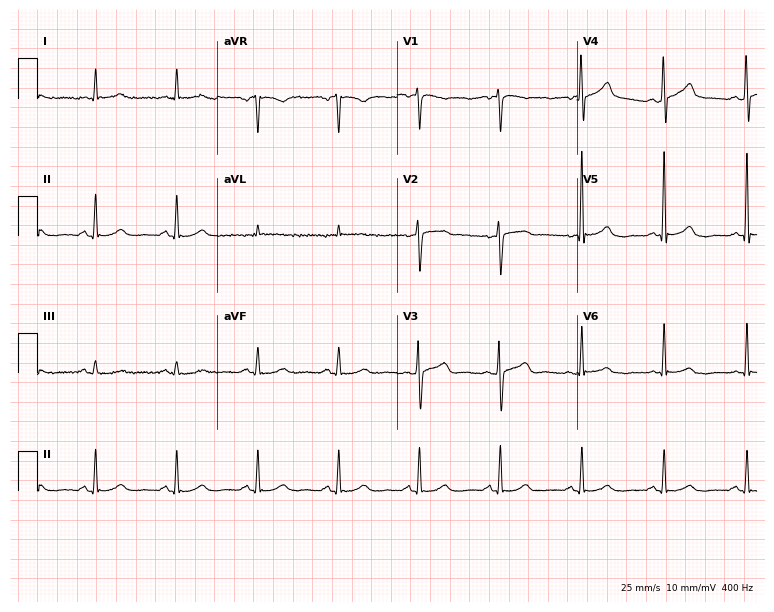
Electrocardiogram, an 84-year-old woman. Of the six screened findings (first-degree AV block, right bundle branch block, left bundle branch block, sinus bradycardia, atrial fibrillation, sinus tachycardia), none is recorded. Findings outside these six are not listed.